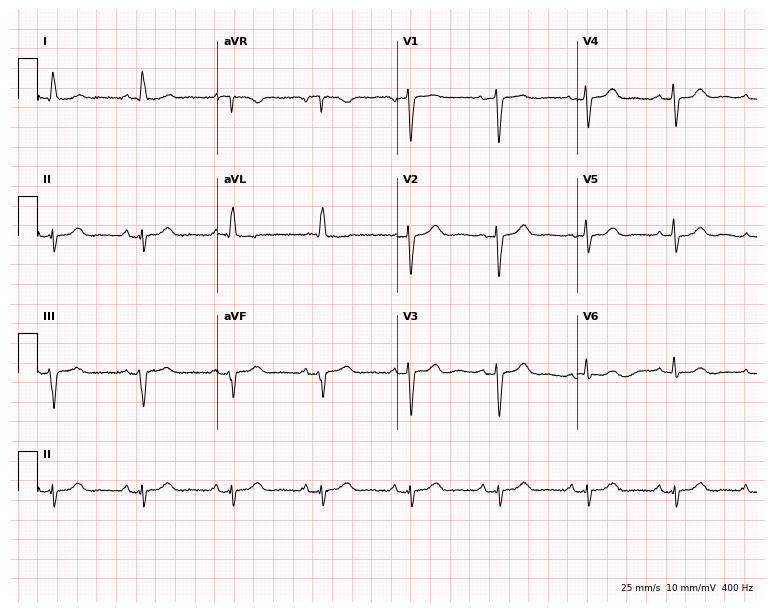
Standard 12-lead ECG recorded from a female patient, 79 years old (7.3-second recording at 400 Hz). None of these six findings is recorded: first-degree AV block, right bundle branch block, left bundle branch block, sinus bradycardia, atrial fibrillation, sinus tachycardia. Other findings, if any, are not listed.